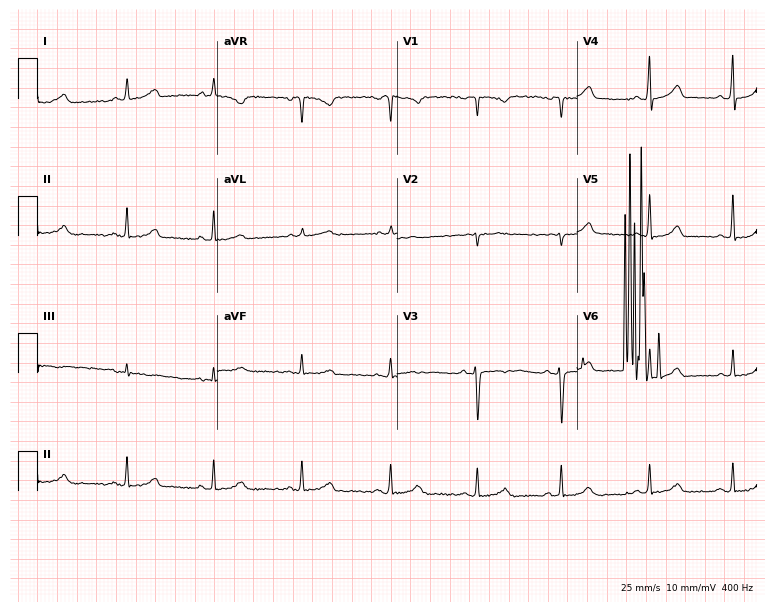
Electrocardiogram (7.3-second recording at 400 Hz), a woman, 40 years old. Of the six screened findings (first-degree AV block, right bundle branch block, left bundle branch block, sinus bradycardia, atrial fibrillation, sinus tachycardia), none is recorded. Other findings, if any, are not listed.